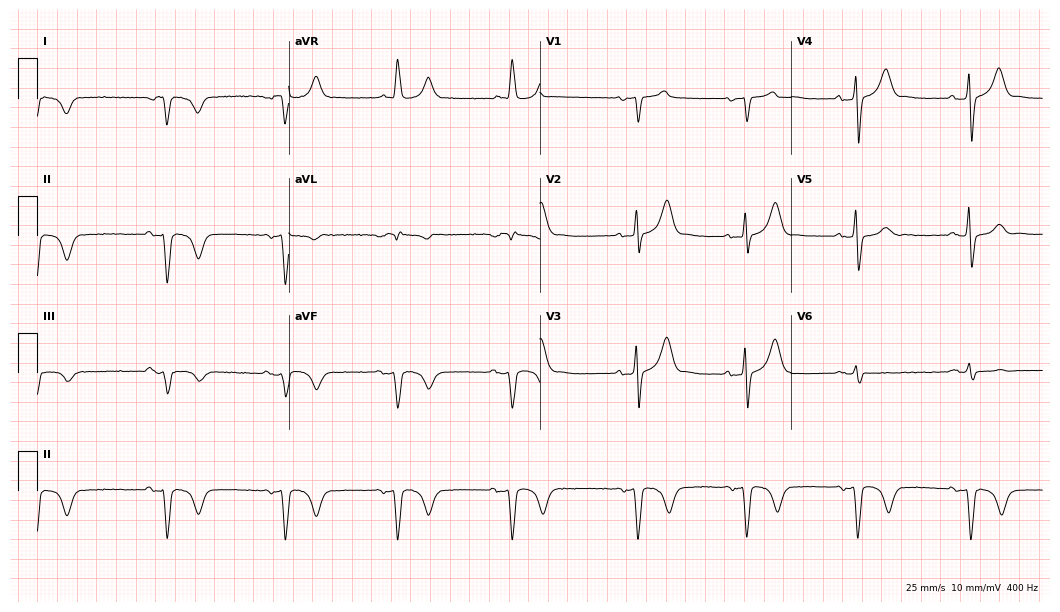
ECG — an 81-year-old man. Screened for six findings — first-degree AV block, right bundle branch block, left bundle branch block, sinus bradycardia, atrial fibrillation, sinus tachycardia — none is recorded.